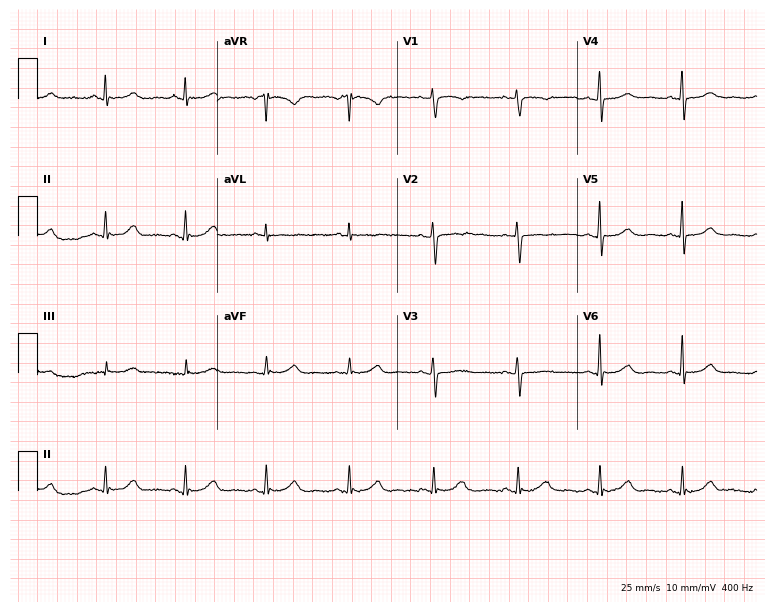
12-lead ECG from a 59-year-old woman. Recorded interpretation: within normal limits.